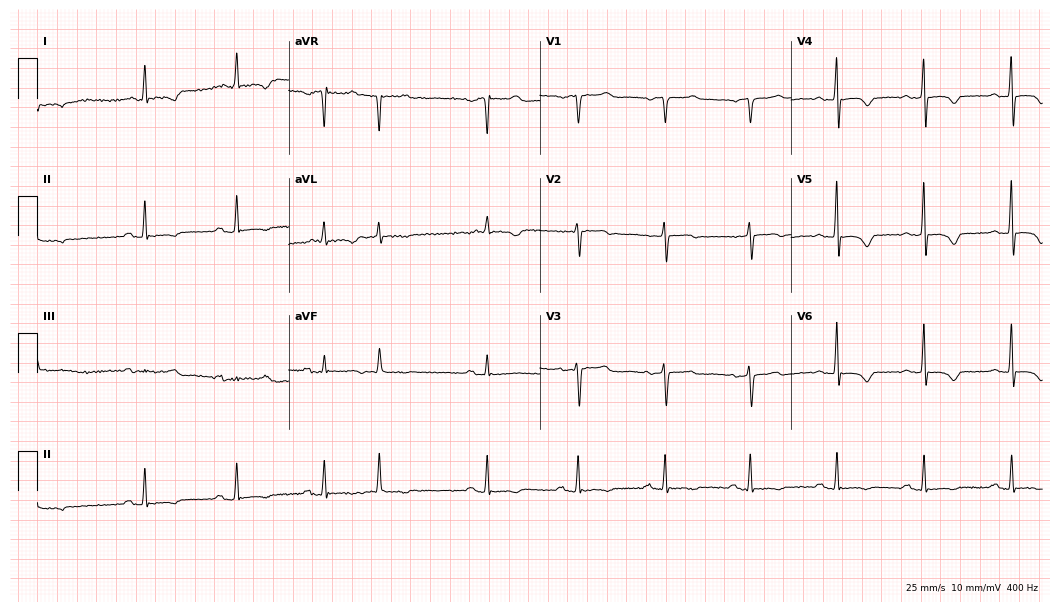
Standard 12-lead ECG recorded from a woman, 75 years old. None of these six findings is recorded: first-degree AV block, right bundle branch block, left bundle branch block, sinus bradycardia, atrial fibrillation, sinus tachycardia.